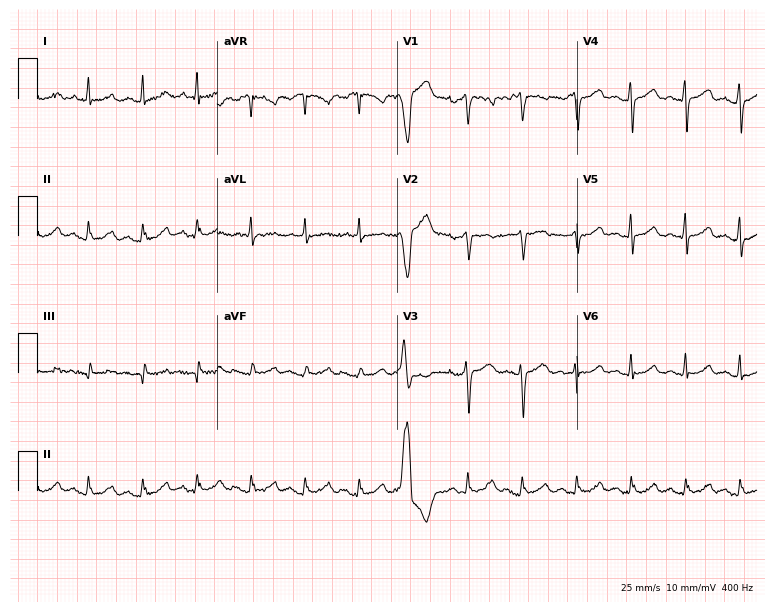
12-lead ECG from a male, 53 years old (7.3-second recording at 400 Hz). Shows sinus tachycardia (a sinus rate of 100 beats per minute or more).